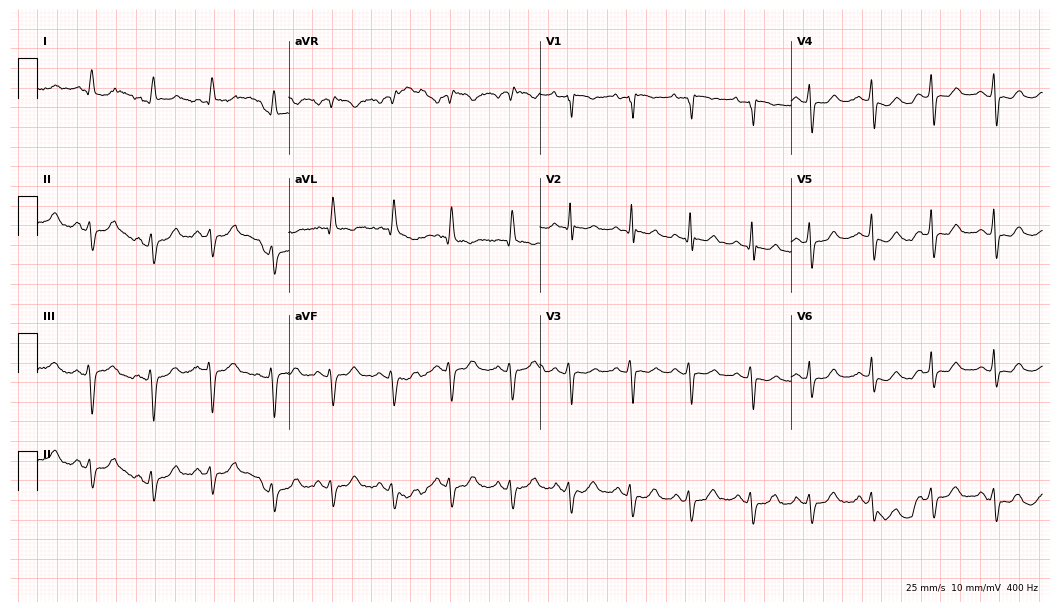
12-lead ECG from a 75-year-old woman (10.2-second recording at 400 Hz). No first-degree AV block, right bundle branch block (RBBB), left bundle branch block (LBBB), sinus bradycardia, atrial fibrillation (AF) or sinus tachycardia recorded for this tracing.